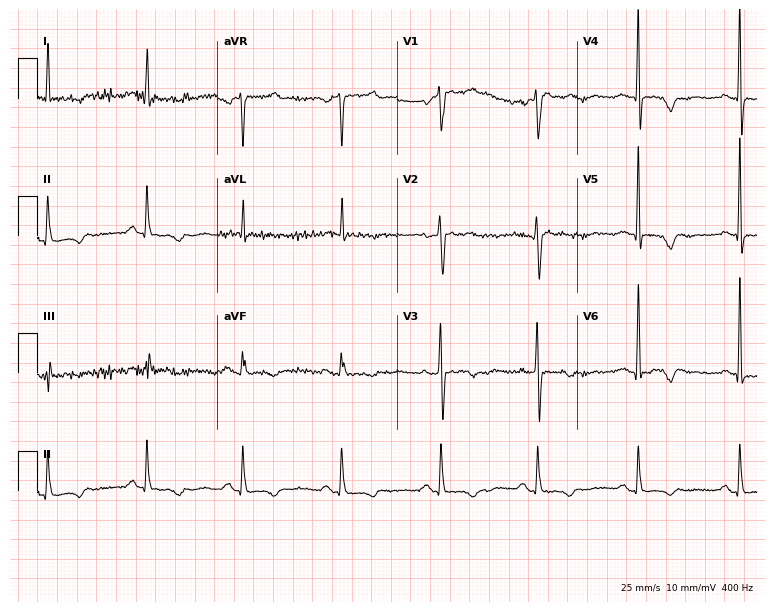
Electrocardiogram, a woman, 77 years old. Of the six screened findings (first-degree AV block, right bundle branch block, left bundle branch block, sinus bradycardia, atrial fibrillation, sinus tachycardia), none is recorded.